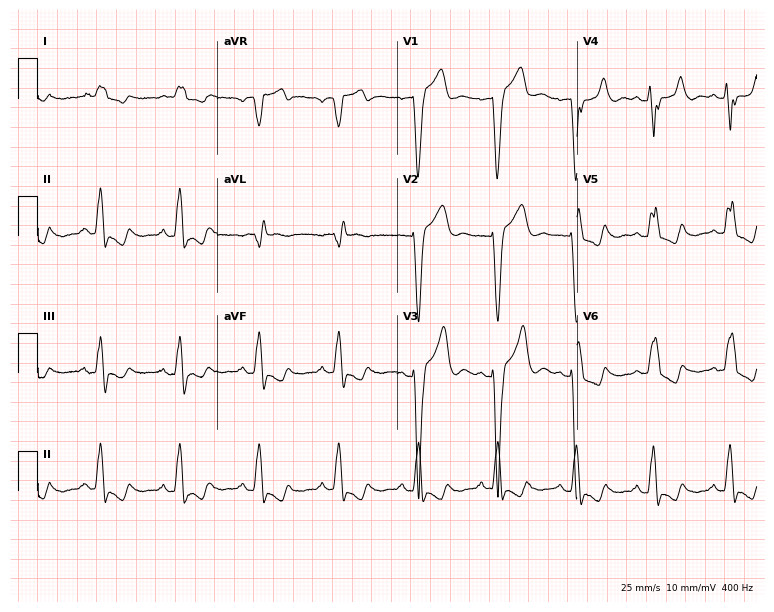
ECG (7.3-second recording at 400 Hz) — a 69-year-old man. Findings include left bundle branch block (LBBB).